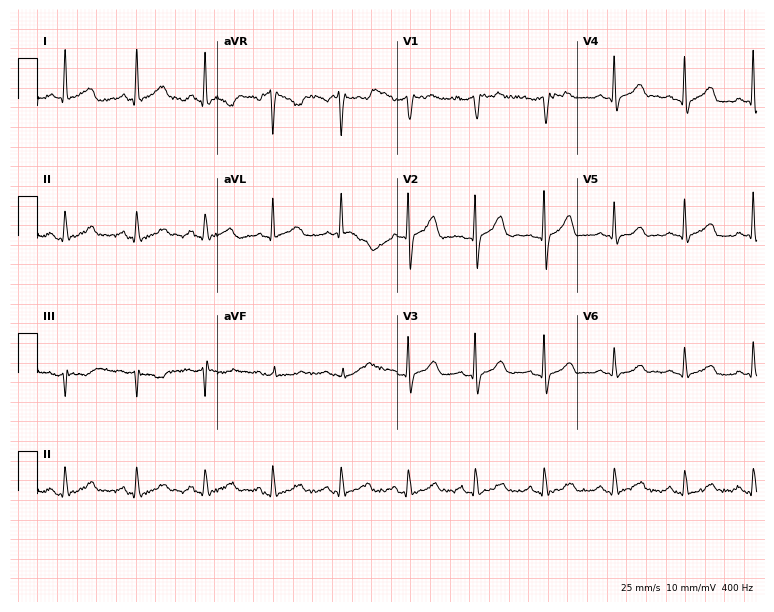
Electrocardiogram (7.3-second recording at 400 Hz), a female, 68 years old. Overall reading on record: normal ECG.